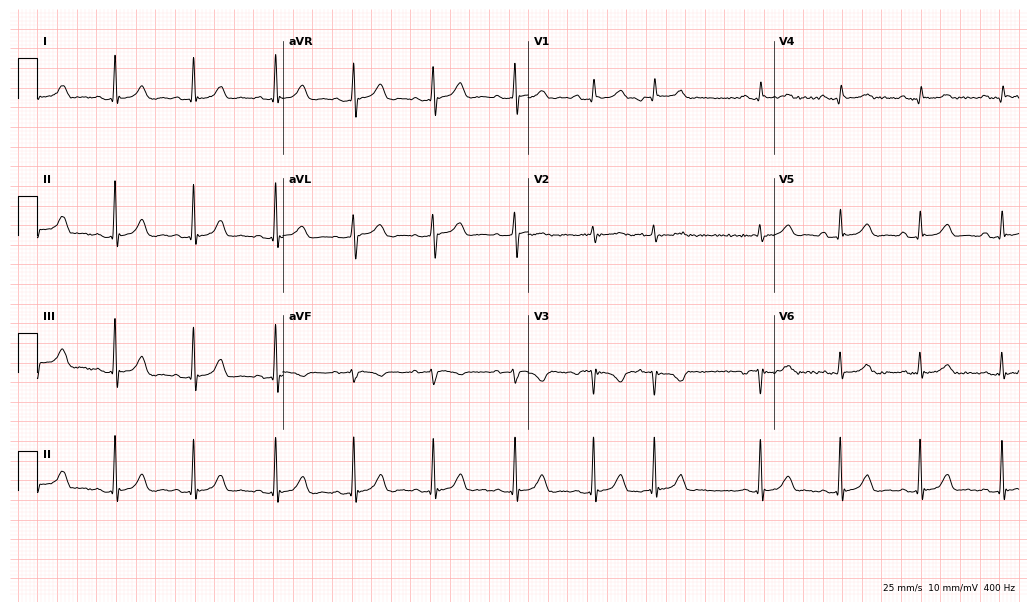
12-lead ECG from a female, 63 years old. No first-degree AV block, right bundle branch block, left bundle branch block, sinus bradycardia, atrial fibrillation or sinus tachycardia recorded for this tracing.